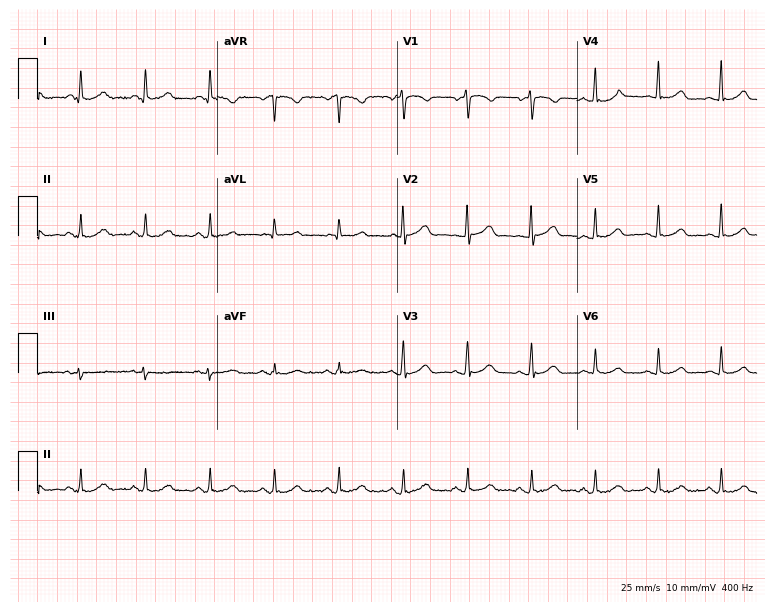
Resting 12-lead electrocardiogram (7.3-second recording at 400 Hz). Patient: a female, 80 years old. Read as a normal ECG.